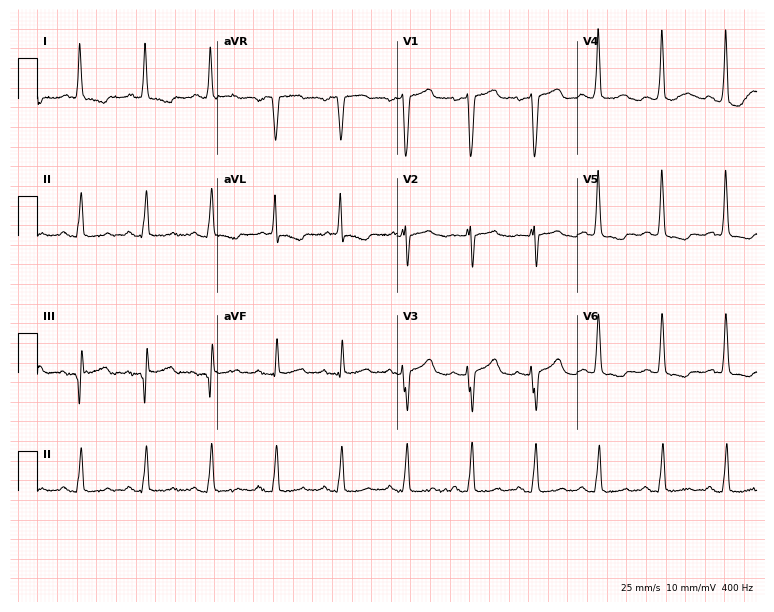
12-lead ECG from a 68-year-old female. No first-degree AV block, right bundle branch block, left bundle branch block, sinus bradycardia, atrial fibrillation or sinus tachycardia recorded for this tracing. Findings outside these six are not listed.